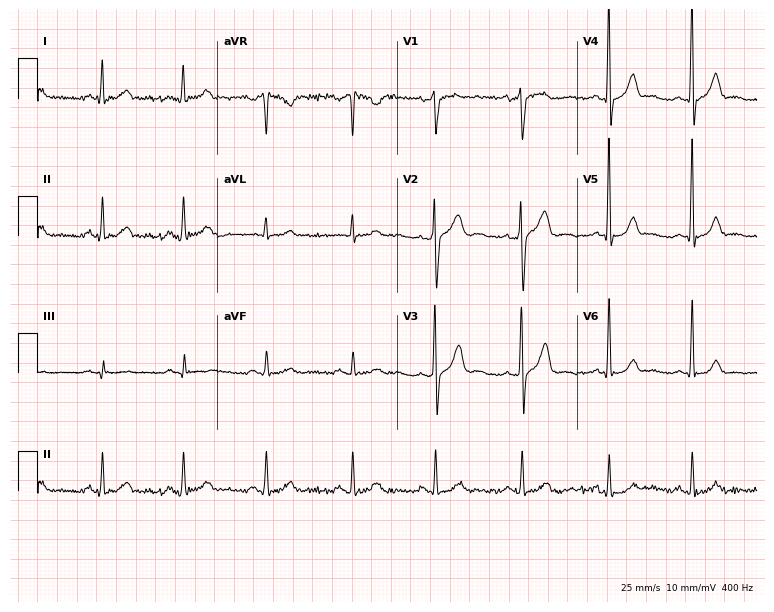
ECG — a male patient, 43 years old. Screened for six findings — first-degree AV block, right bundle branch block, left bundle branch block, sinus bradycardia, atrial fibrillation, sinus tachycardia — none is recorded. Only these six findings were labelled.